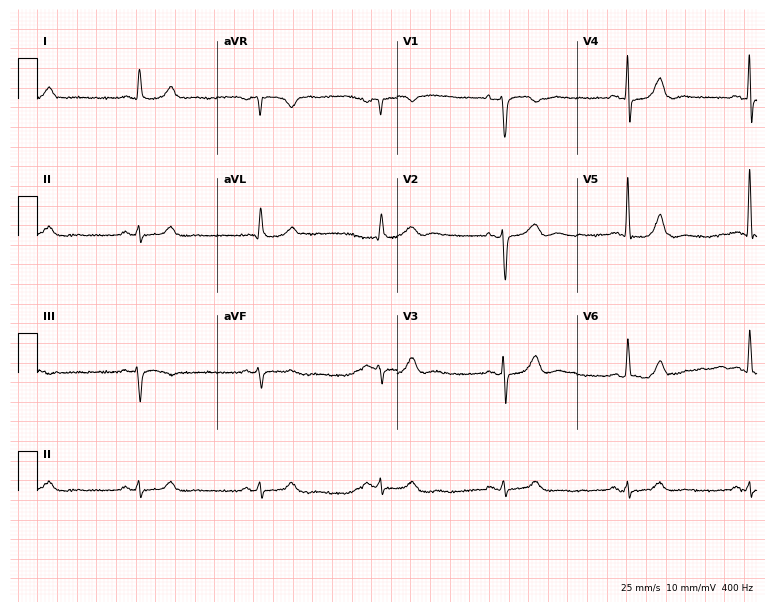
Standard 12-lead ECG recorded from a 78-year-old male patient (7.3-second recording at 400 Hz). The tracing shows sinus bradycardia (a sinus rate of 50 beats per minute or less).